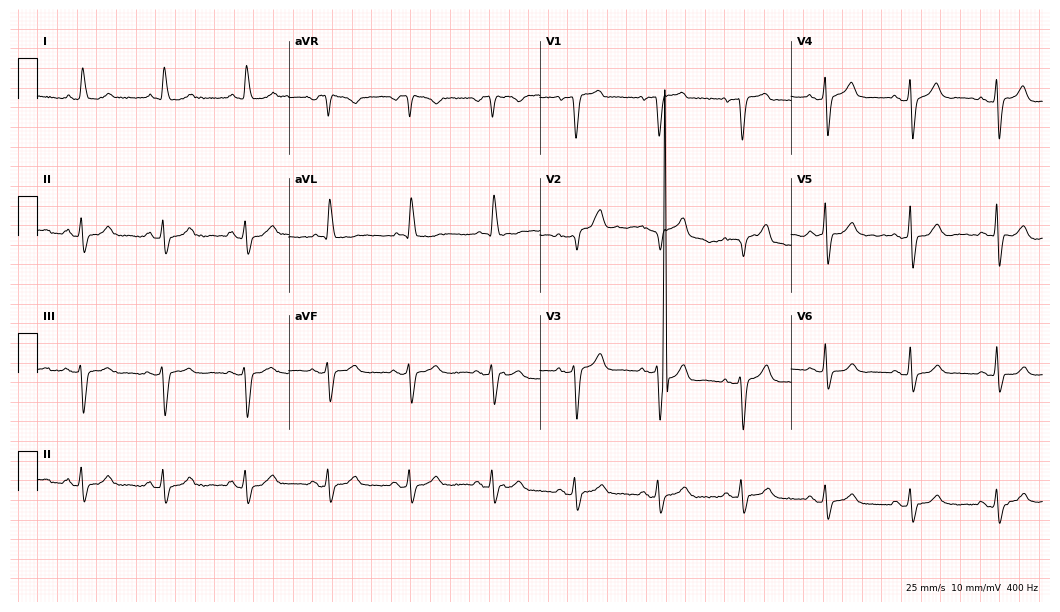
12-lead ECG from a female, 85 years old. No first-degree AV block, right bundle branch block, left bundle branch block, sinus bradycardia, atrial fibrillation or sinus tachycardia recorded for this tracing.